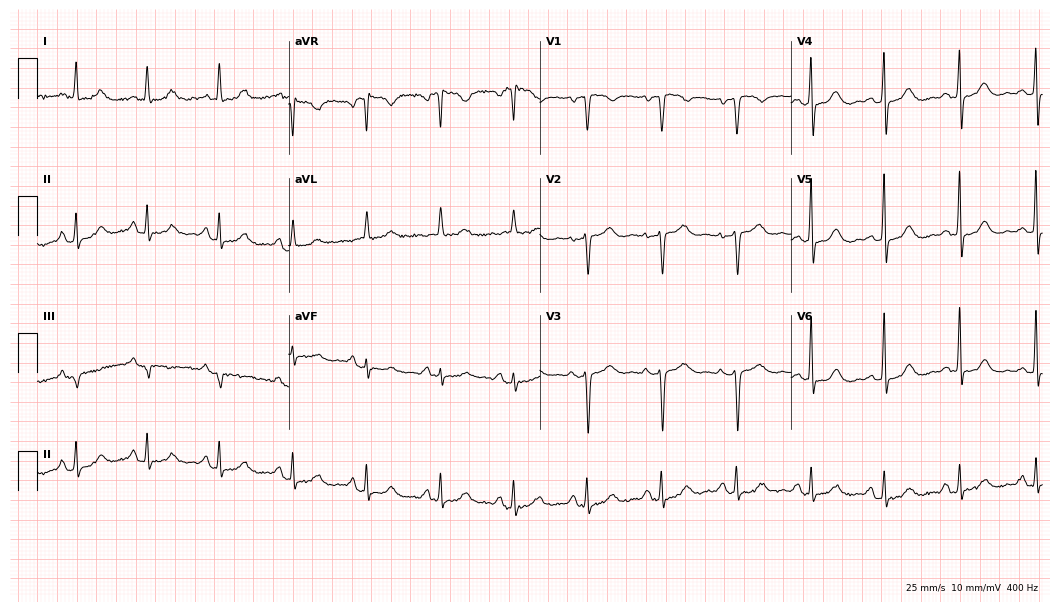
Electrocardiogram, a female patient, 69 years old. Of the six screened findings (first-degree AV block, right bundle branch block, left bundle branch block, sinus bradycardia, atrial fibrillation, sinus tachycardia), none is recorded. Only these six findings were labelled.